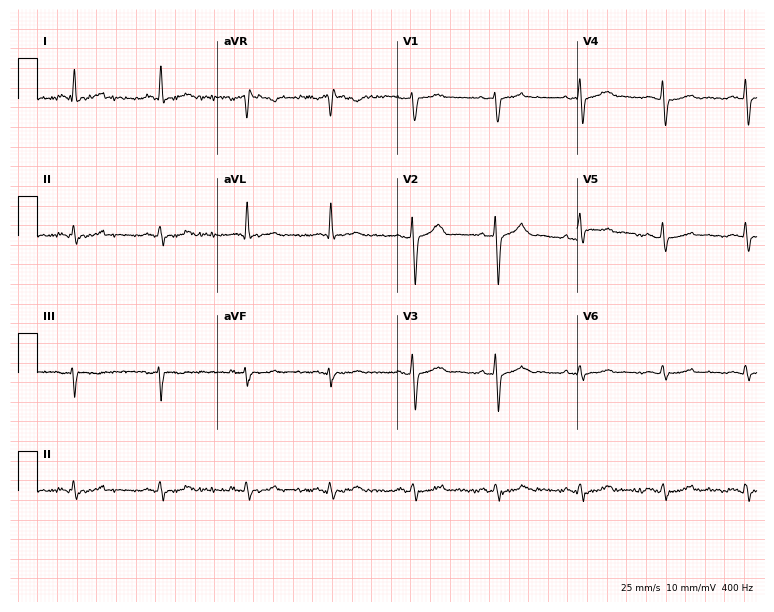
Electrocardiogram (7.3-second recording at 400 Hz), a man, 51 years old. Of the six screened findings (first-degree AV block, right bundle branch block, left bundle branch block, sinus bradycardia, atrial fibrillation, sinus tachycardia), none is recorded. Findings outside these six are not listed.